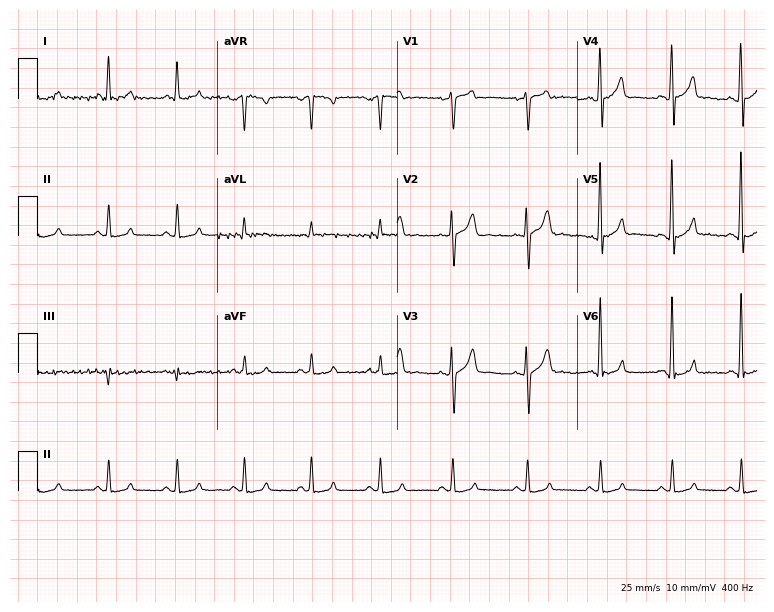
ECG (7.3-second recording at 400 Hz) — a man, 37 years old. Labelled as a normal ECG.